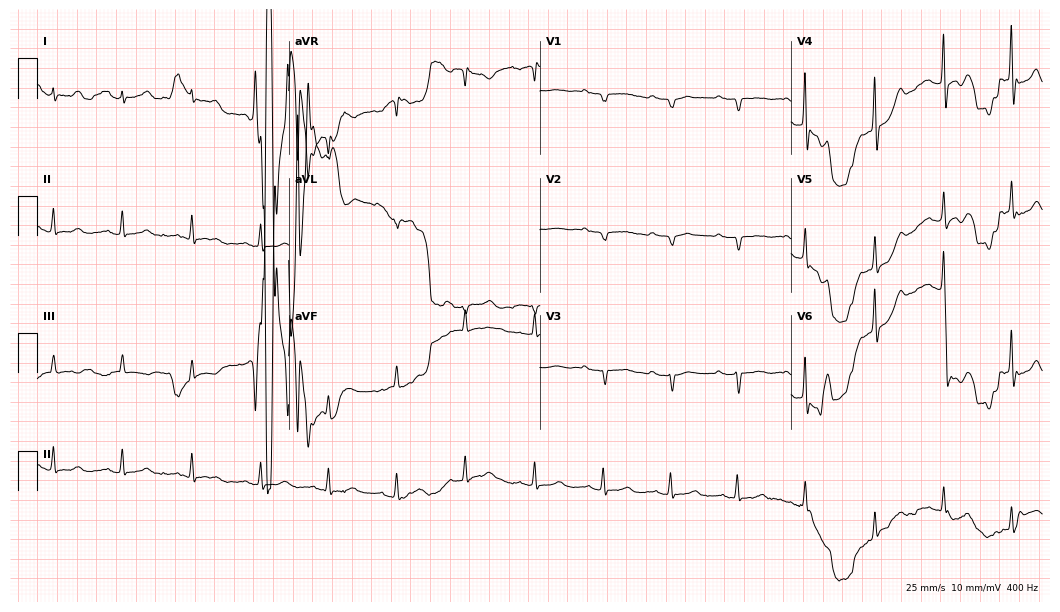
Standard 12-lead ECG recorded from an 80-year-old woman. None of these six findings is recorded: first-degree AV block, right bundle branch block, left bundle branch block, sinus bradycardia, atrial fibrillation, sinus tachycardia.